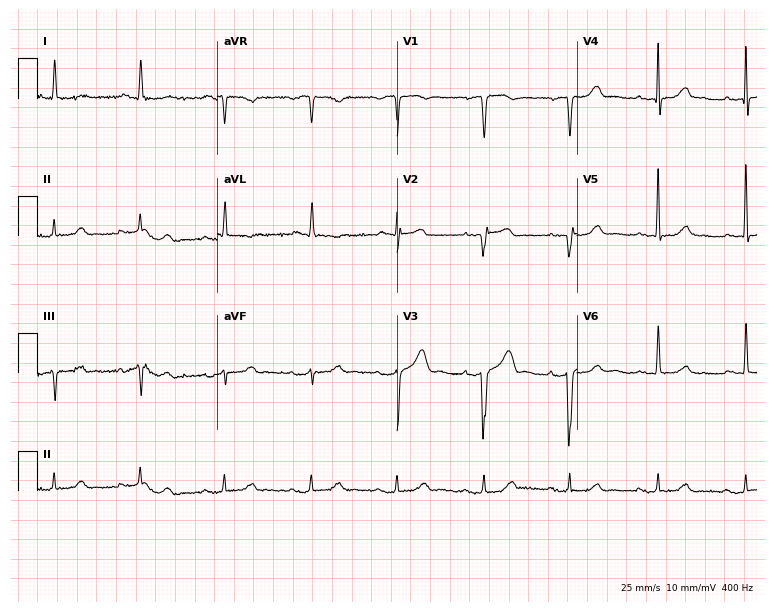
12-lead ECG from an 84-year-old female patient (7.3-second recording at 400 Hz). No first-degree AV block, right bundle branch block (RBBB), left bundle branch block (LBBB), sinus bradycardia, atrial fibrillation (AF) or sinus tachycardia recorded for this tracing.